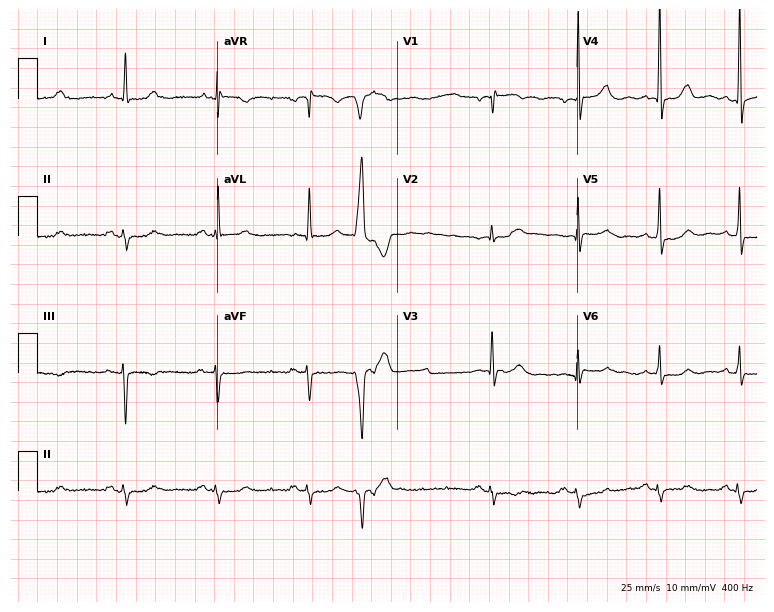
Electrocardiogram, a male, 79 years old. Of the six screened findings (first-degree AV block, right bundle branch block (RBBB), left bundle branch block (LBBB), sinus bradycardia, atrial fibrillation (AF), sinus tachycardia), none is recorded.